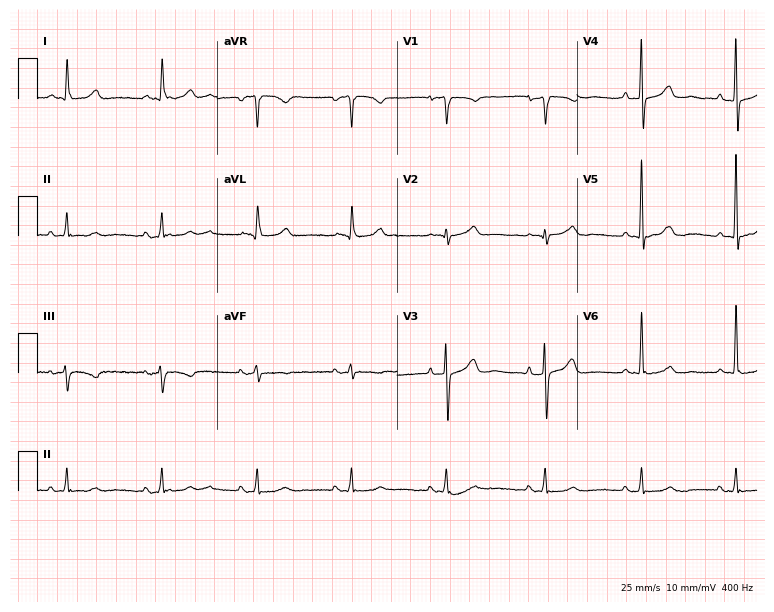
Resting 12-lead electrocardiogram. Patient: a female, 75 years old. None of these six findings is recorded: first-degree AV block, right bundle branch block, left bundle branch block, sinus bradycardia, atrial fibrillation, sinus tachycardia.